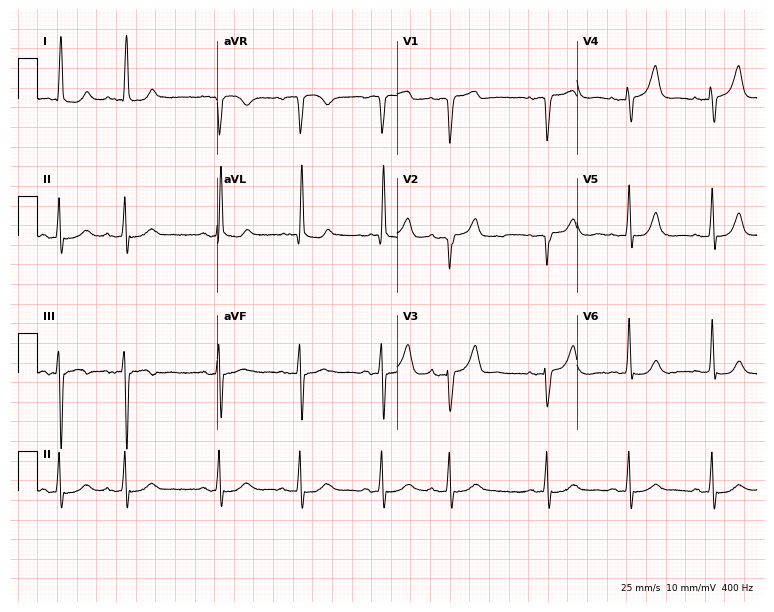
Resting 12-lead electrocardiogram. Patient: a woman, 85 years old. None of these six findings is recorded: first-degree AV block, right bundle branch block, left bundle branch block, sinus bradycardia, atrial fibrillation, sinus tachycardia.